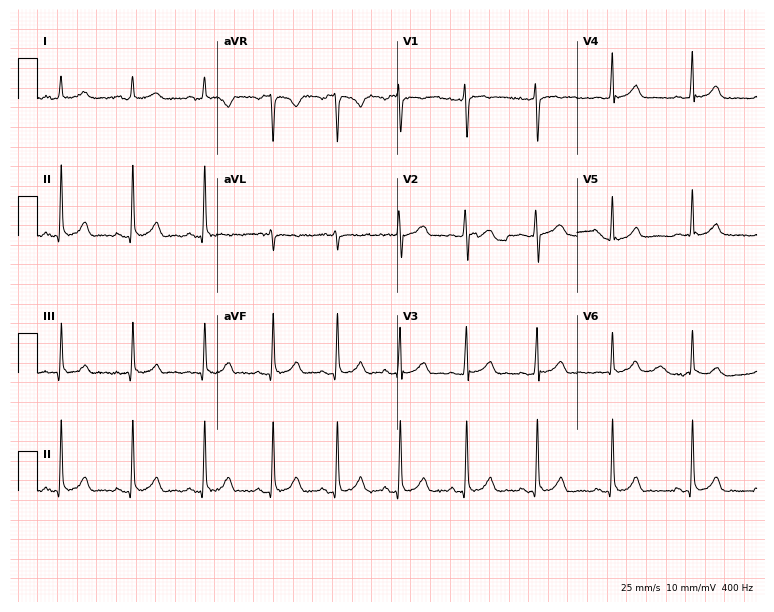
12-lead ECG (7.3-second recording at 400 Hz) from a 21-year-old female patient. Labelled as a normal ECG.